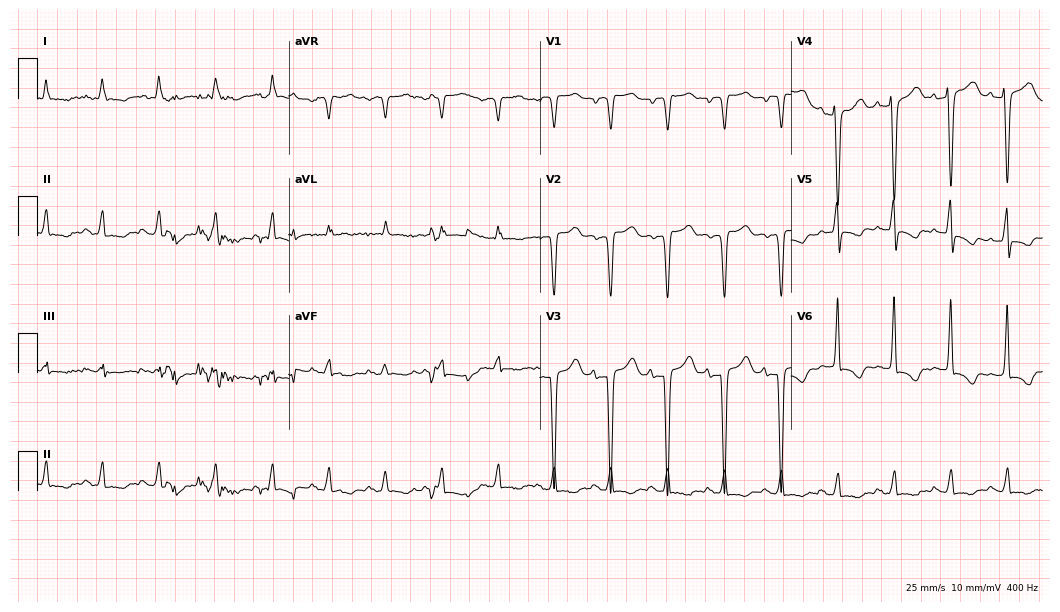
12-lead ECG from a woman, 72 years old. Screened for six findings — first-degree AV block, right bundle branch block (RBBB), left bundle branch block (LBBB), sinus bradycardia, atrial fibrillation (AF), sinus tachycardia — none is recorded.